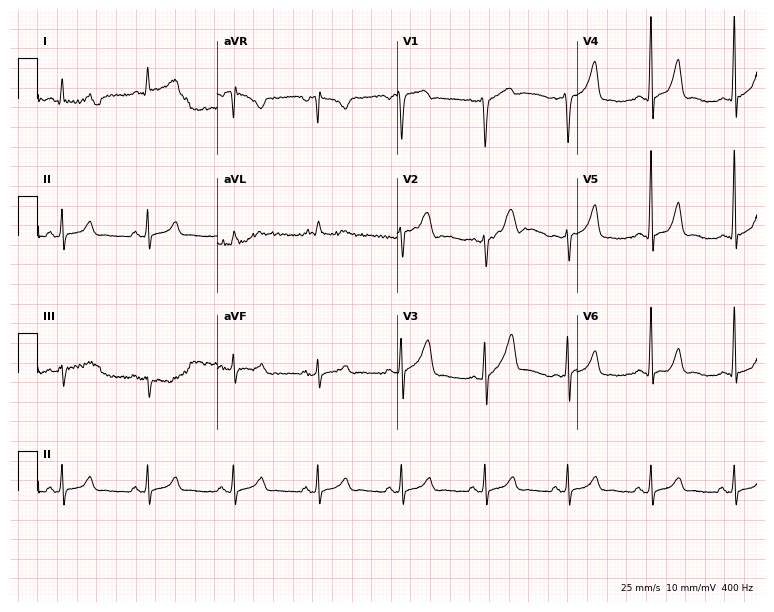
Standard 12-lead ECG recorded from a male, 40 years old (7.3-second recording at 400 Hz). Read as a normal ECG.